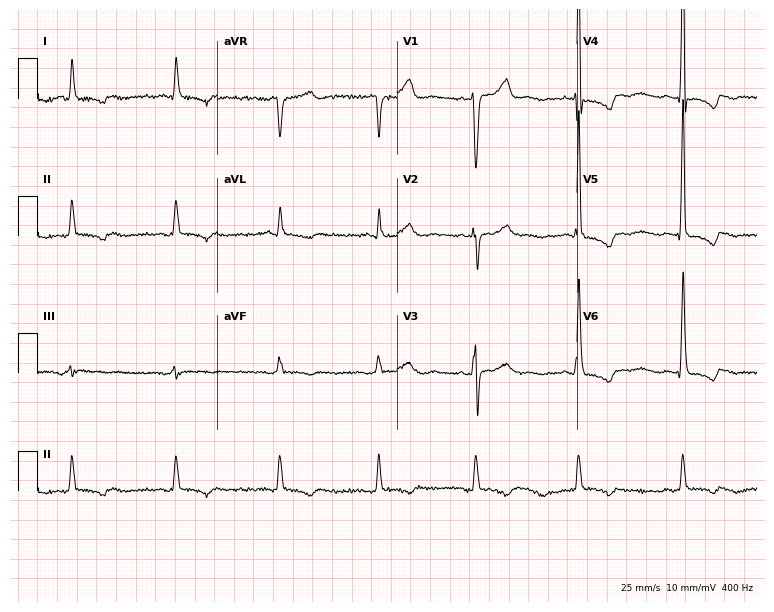
12-lead ECG from a 69-year-old male. Screened for six findings — first-degree AV block, right bundle branch block, left bundle branch block, sinus bradycardia, atrial fibrillation, sinus tachycardia — none is recorded. Findings outside these six are not listed.